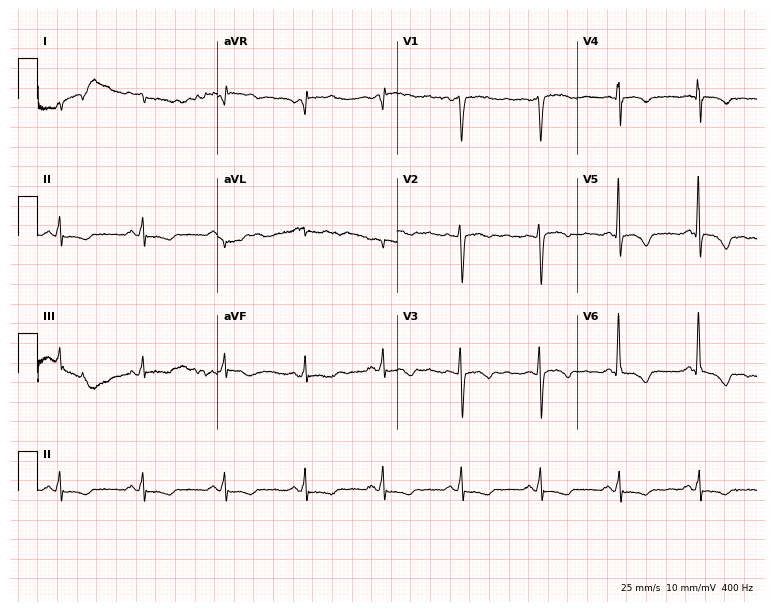
Resting 12-lead electrocardiogram. Patient: a female, 54 years old. None of these six findings is recorded: first-degree AV block, right bundle branch block, left bundle branch block, sinus bradycardia, atrial fibrillation, sinus tachycardia. Only these six findings were labelled.